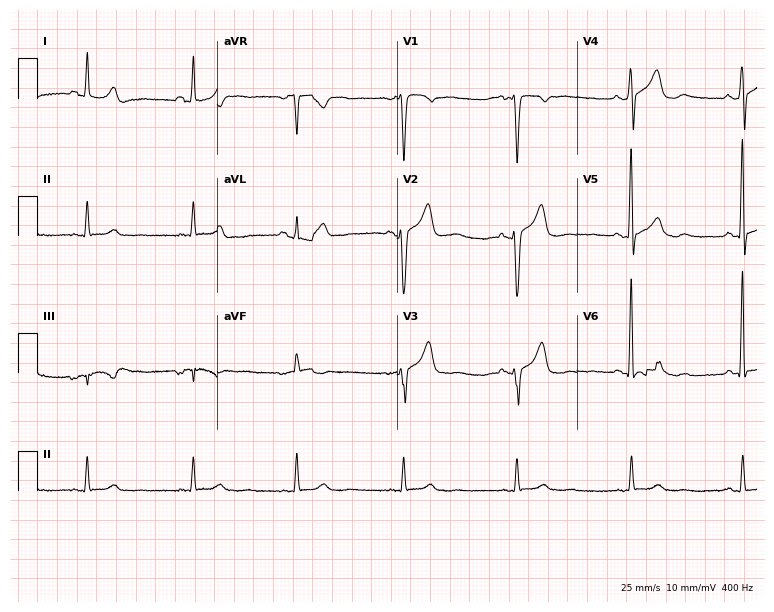
ECG — a 47-year-old woman. Screened for six findings — first-degree AV block, right bundle branch block, left bundle branch block, sinus bradycardia, atrial fibrillation, sinus tachycardia — none is recorded. Findings outside these six are not listed.